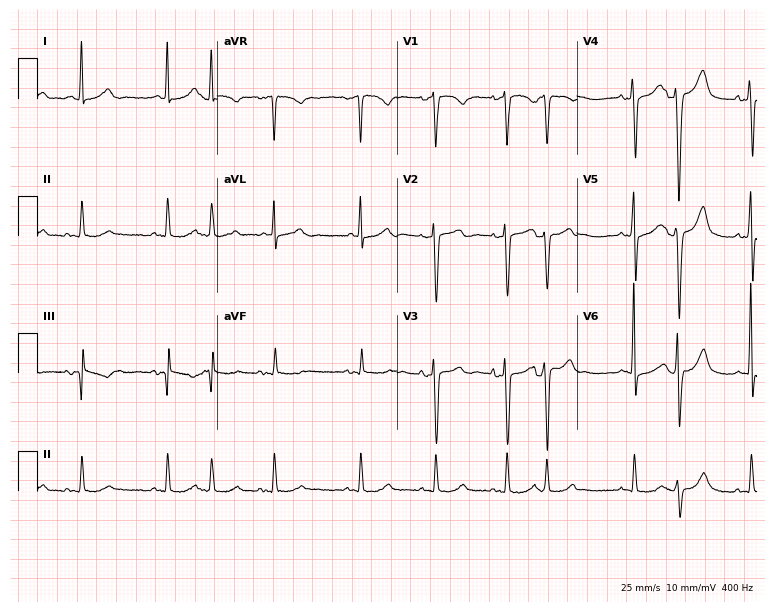
12-lead ECG (7.3-second recording at 400 Hz) from a female patient, 69 years old. Labelled as a normal ECG.